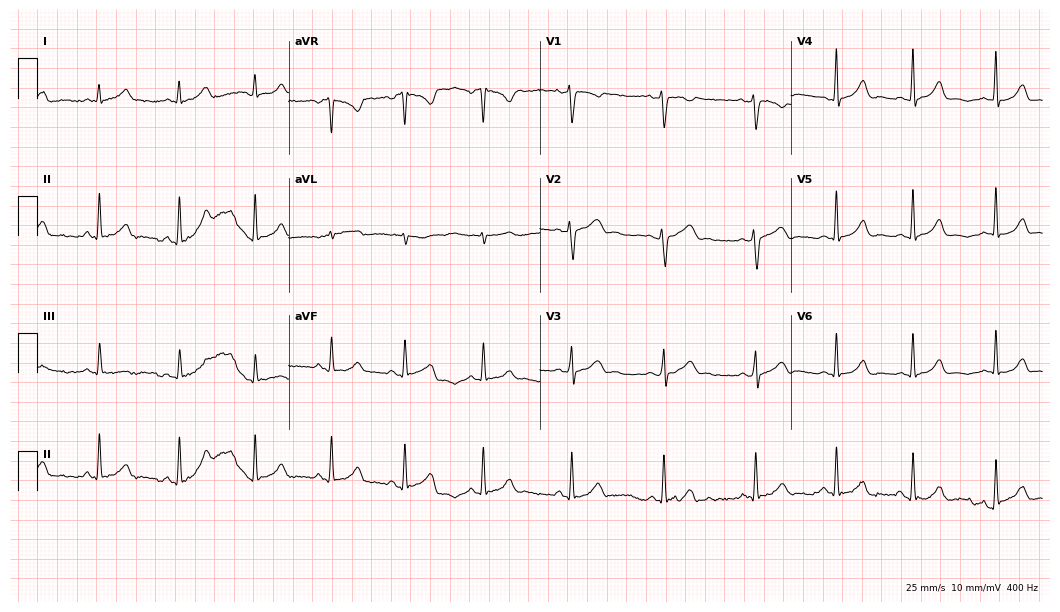
Standard 12-lead ECG recorded from a female, 37 years old. Read as a normal ECG.